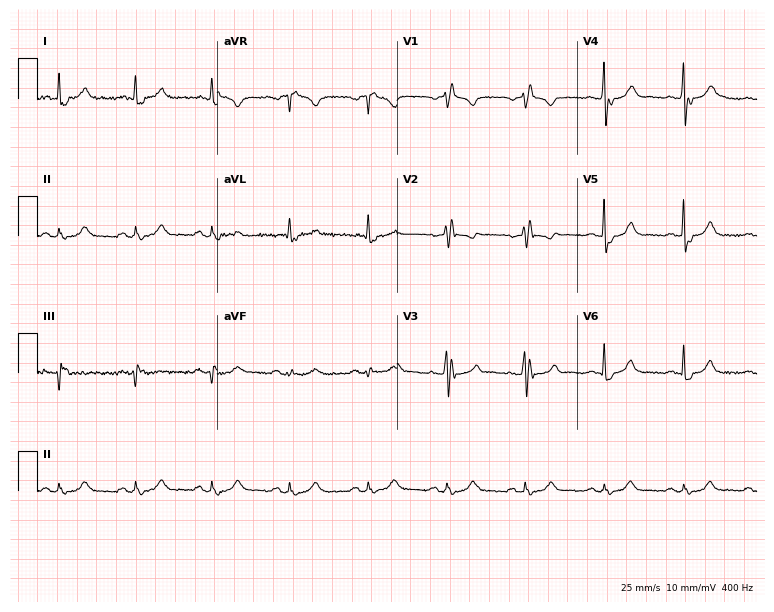
ECG (7.3-second recording at 400 Hz) — a 63-year-old male. Findings include right bundle branch block.